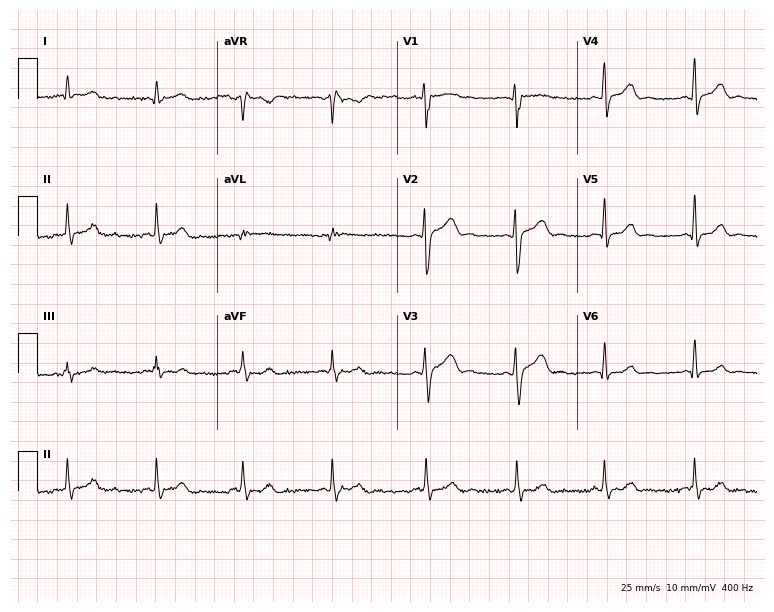
12-lead ECG (7.3-second recording at 400 Hz) from a 27-year-old male. Screened for six findings — first-degree AV block, right bundle branch block, left bundle branch block, sinus bradycardia, atrial fibrillation, sinus tachycardia — none is recorded.